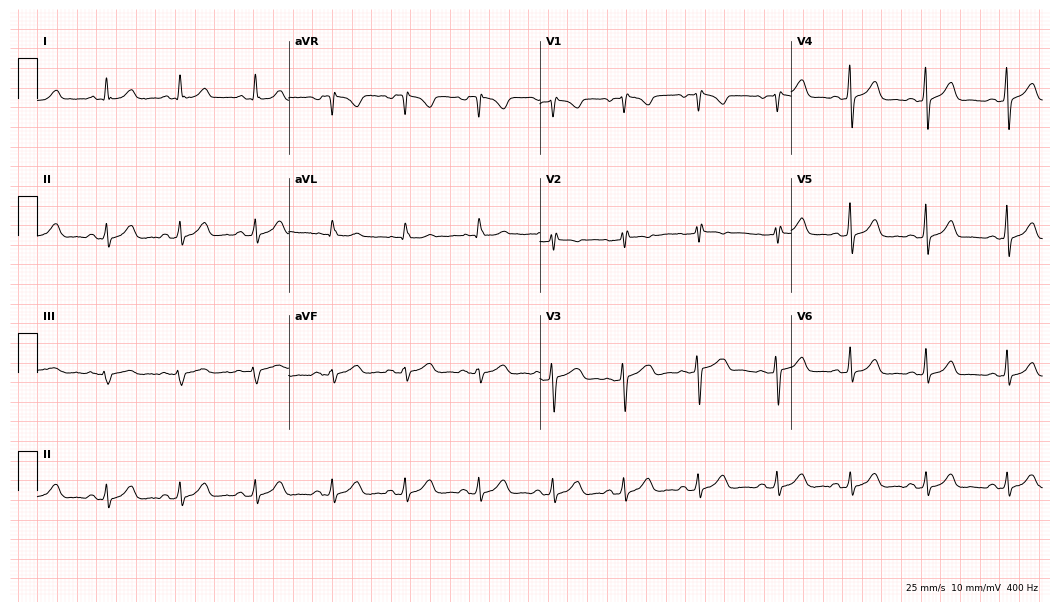
12-lead ECG from a 26-year-old female patient. No first-degree AV block, right bundle branch block (RBBB), left bundle branch block (LBBB), sinus bradycardia, atrial fibrillation (AF) or sinus tachycardia recorded for this tracing.